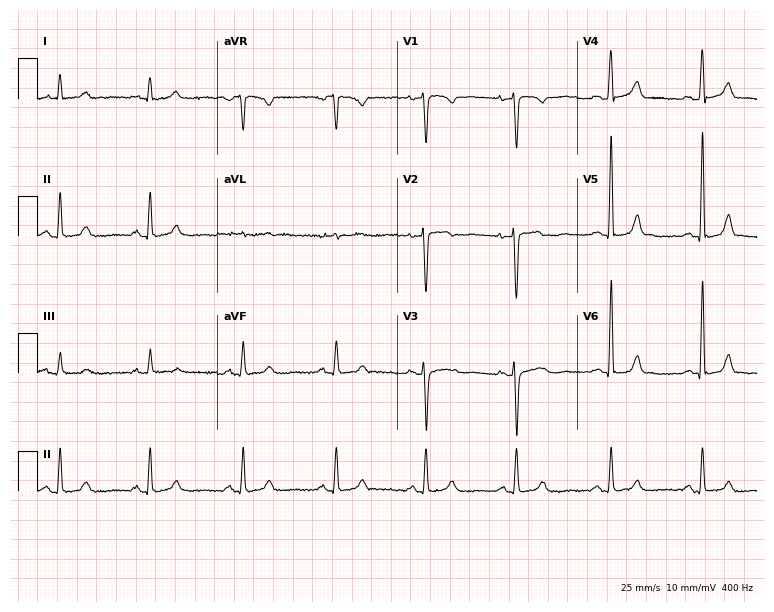
12-lead ECG (7.3-second recording at 400 Hz) from a 40-year-old woman. Labelled as a normal ECG.